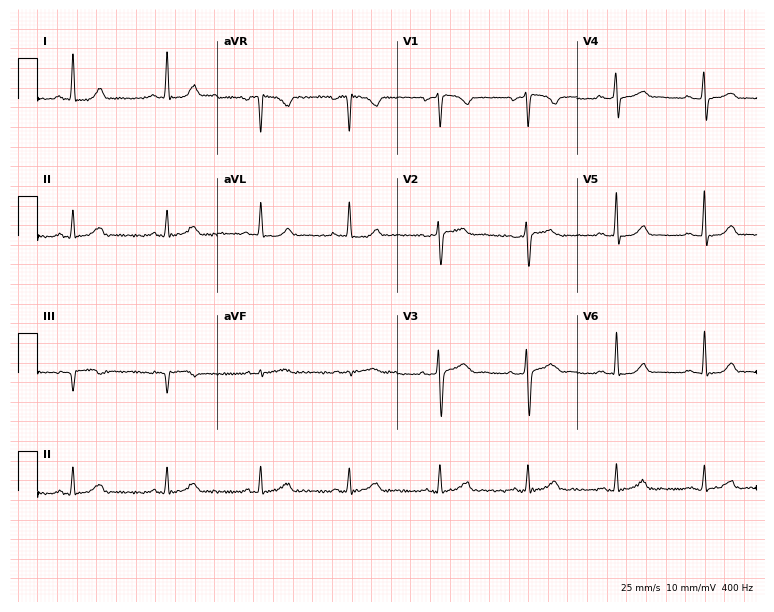
Resting 12-lead electrocardiogram. Patient: a woman, 46 years old. None of these six findings is recorded: first-degree AV block, right bundle branch block, left bundle branch block, sinus bradycardia, atrial fibrillation, sinus tachycardia. Findings outside these six are not listed.